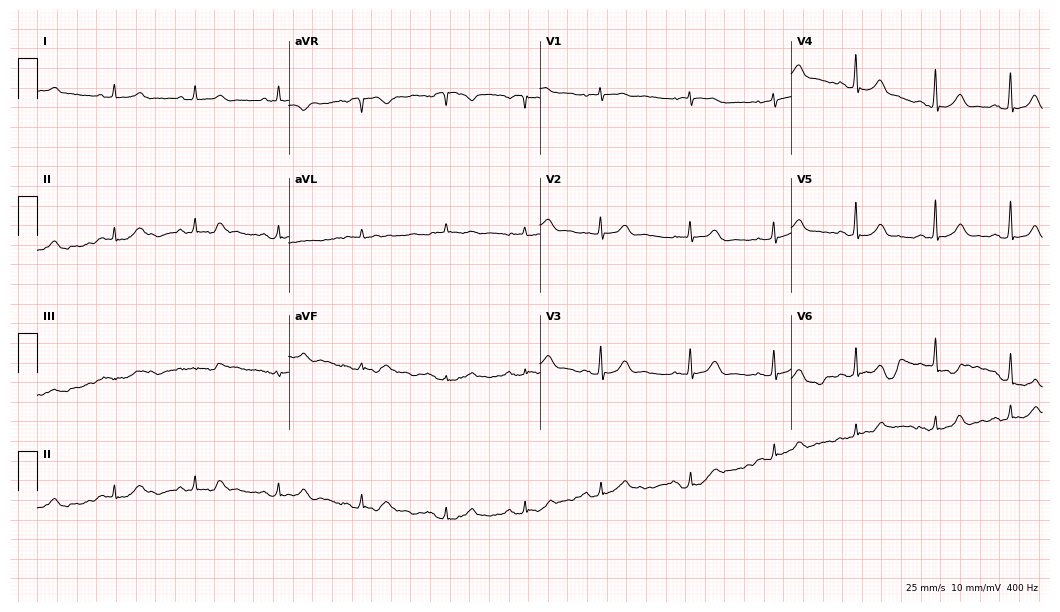
Standard 12-lead ECG recorded from a 78-year-old female patient. Read as a normal ECG.